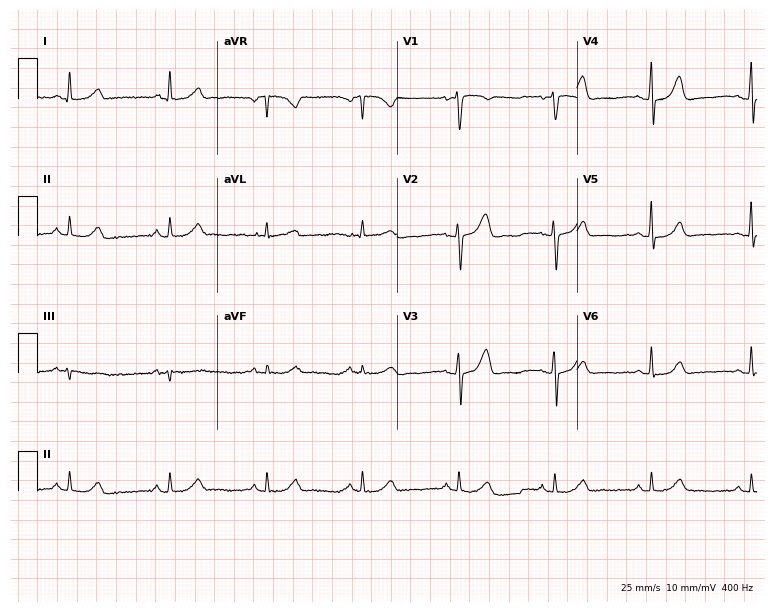
Electrocardiogram, a 43-year-old female. Overall reading on record: normal ECG.